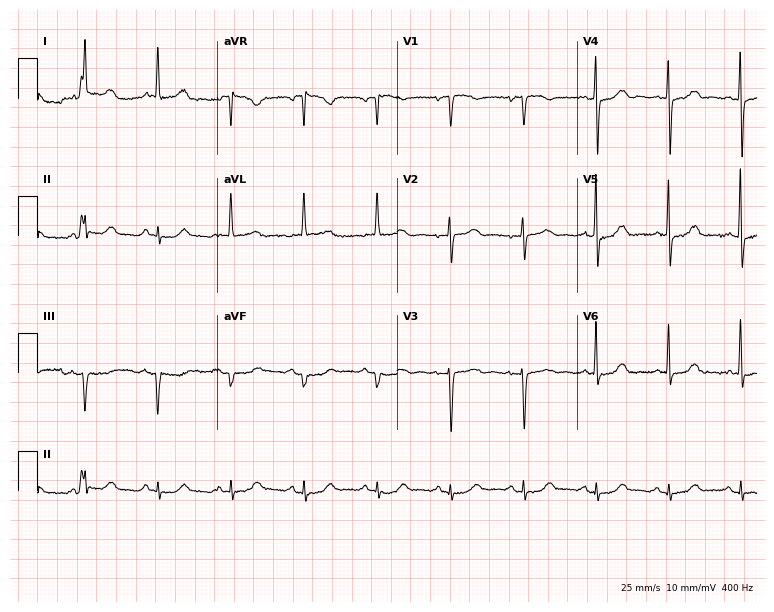
12-lead ECG from an 80-year-old woman. Screened for six findings — first-degree AV block, right bundle branch block, left bundle branch block, sinus bradycardia, atrial fibrillation, sinus tachycardia — none is recorded. Findings outside these six are not listed.